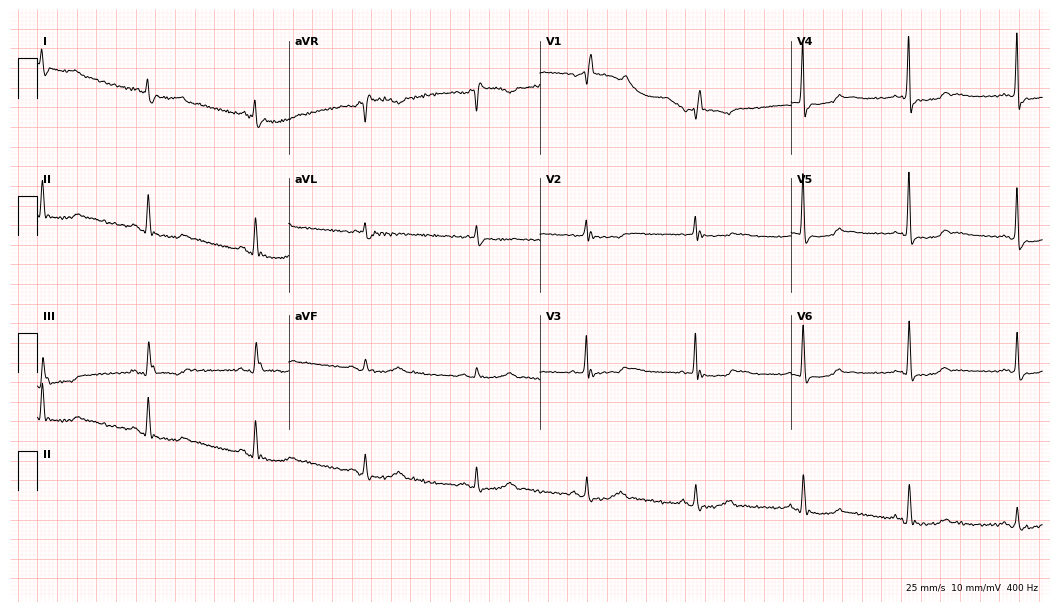
Resting 12-lead electrocardiogram. Patient: a 78-year-old male. None of these six findings is recorded: first-degree AV block, right bundle branch block (RBBB), left bundle branch block (LBBB), sinus bradycardia, atrial fibrillation (AF), sinus tachycardia.